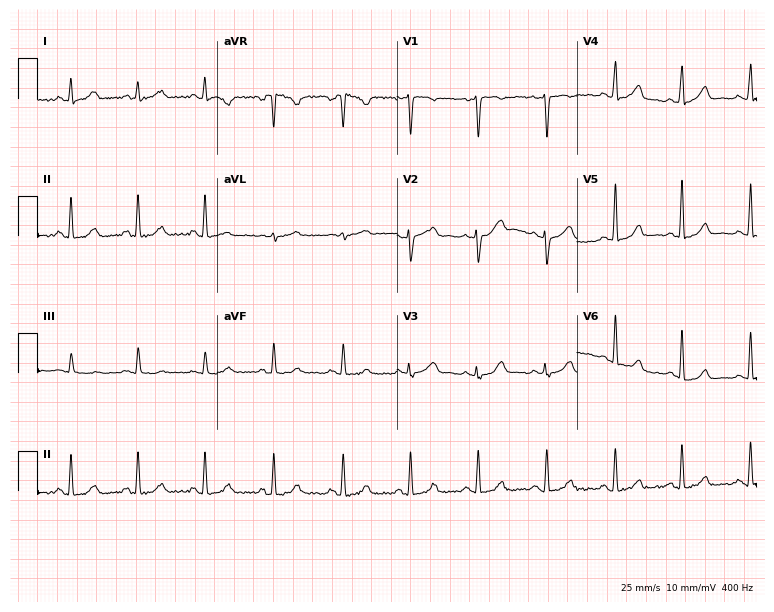
12-lead ECG from a woman, 29 years old (7.3-second recording at 400 Hz). No first-degree AV block, right bundle branch block, left bundle branch block, sinus bradycardia, atrial fibrillation or sinus tachycardia recorded for this tracing. Findings outside these six are not listed.